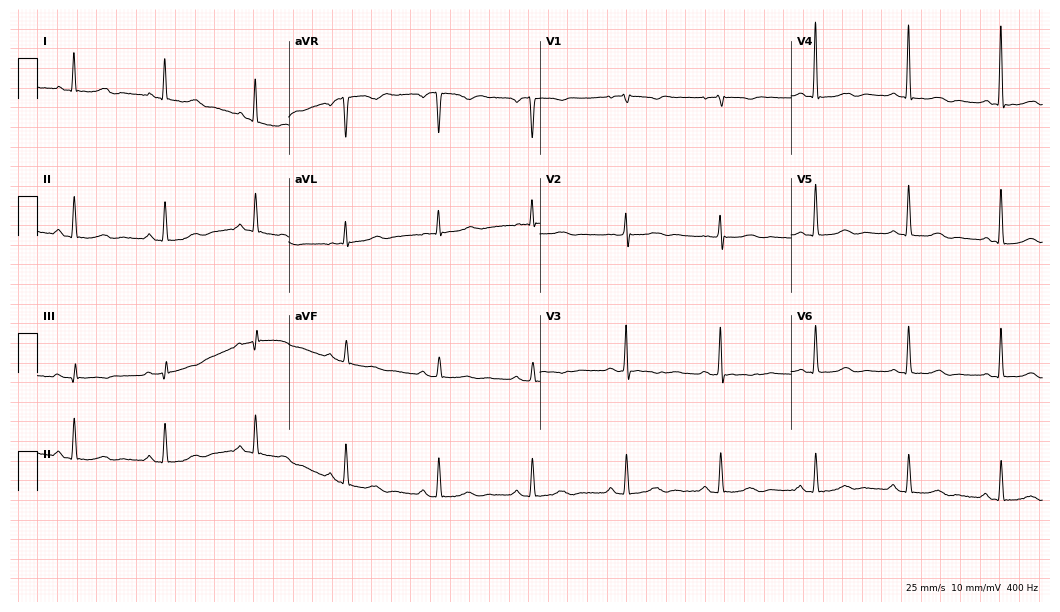
Electrocardiogram, a woman, 70 years old. Overall reading on record: normal ECG.